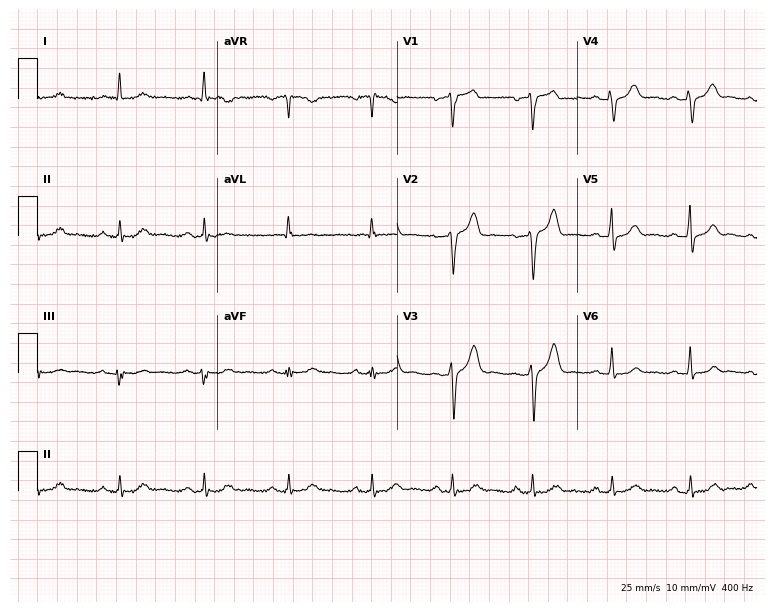
12-lead ECG from a man, 43 years old. Recorded interpretation: within normal limits.